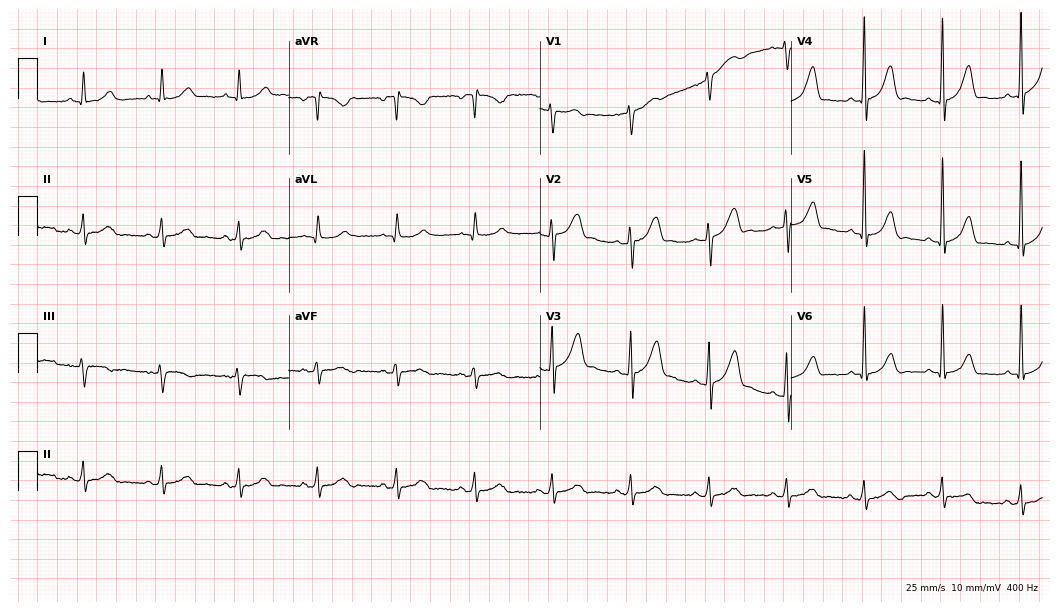
ECG (10.2-second recording at 400 Hz) — a 52-year-old male patient. Labelled as a normal ECG.